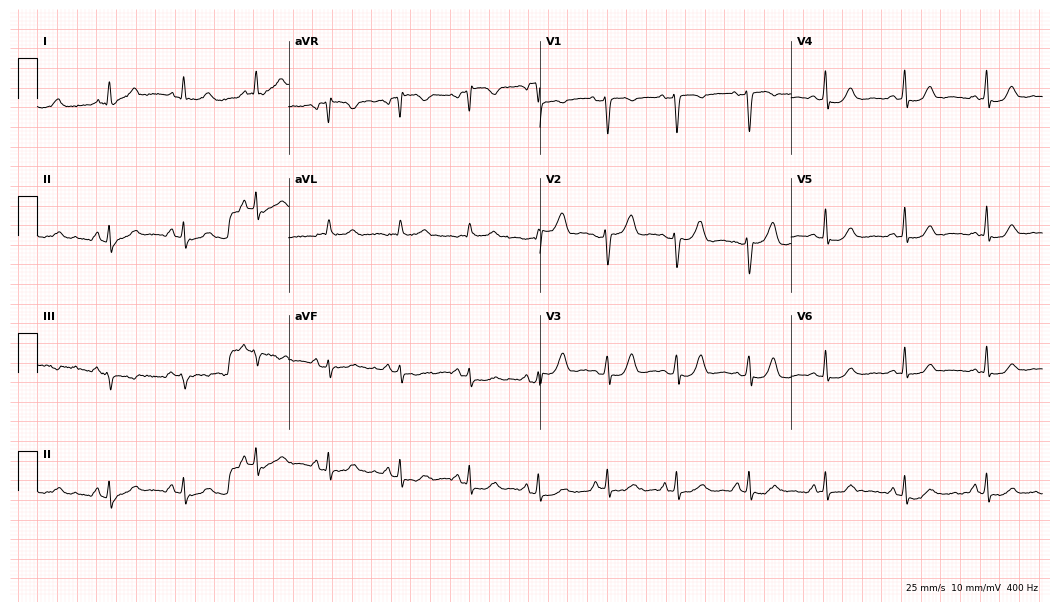
Standard 12-lead ECG recorded from a female patient, 49 years old (10.2-second recording at 400 Hz). None of these six findings is recorded: first-degree AV block, right bundle branch block (RBBB), left bundle branch block (LBBB), sinus bradycardia, atrial fibrillation (AF), sinus tachycardia. Findings outside these six are not listed.